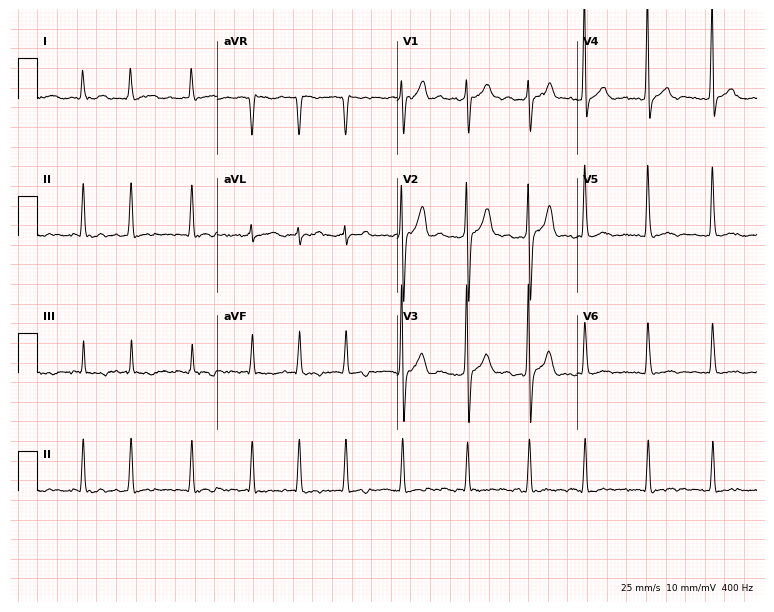
Standard 12-lead ECG recorded from a 74-year-old woman. The tracing shows atrial fibrillation.